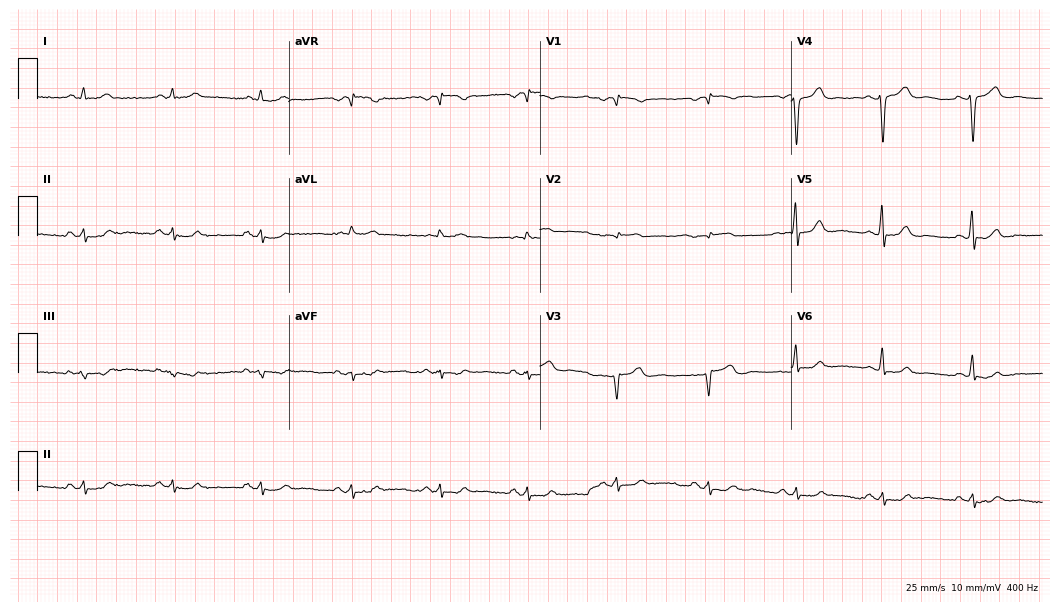
Standard 12-lead ECG recorded from a woman, 47 years old (10.2-second recording at 400 Hz). None of these six findings is recorded: first-degree AV block, right bundle branch block, left bundle branch block, sinus bradycardia, atrial fibrillation, sinus tachycardia. Findings outside these six are not listed.